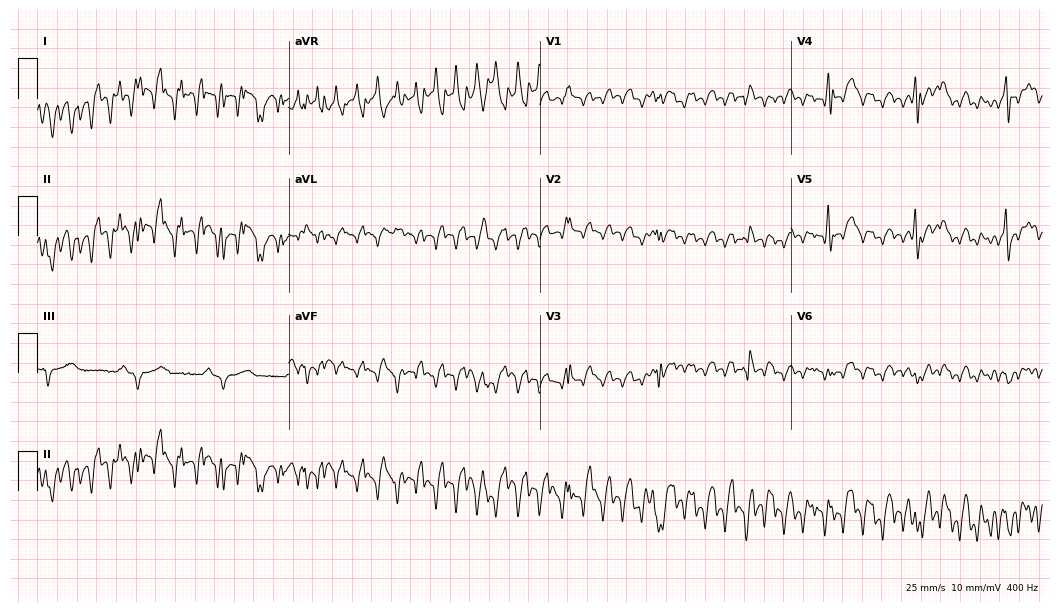
12-lead ECG (10.2-second recording at 400 Hz) from an 81-year-old male patient. Screened for six findings — first-degree AV block, right bundle branch block, left bundle branch block, sinus bradycardia, atrial fibrillation, sinus tachycardia — none is recorded. Findings outside these six are not listed.